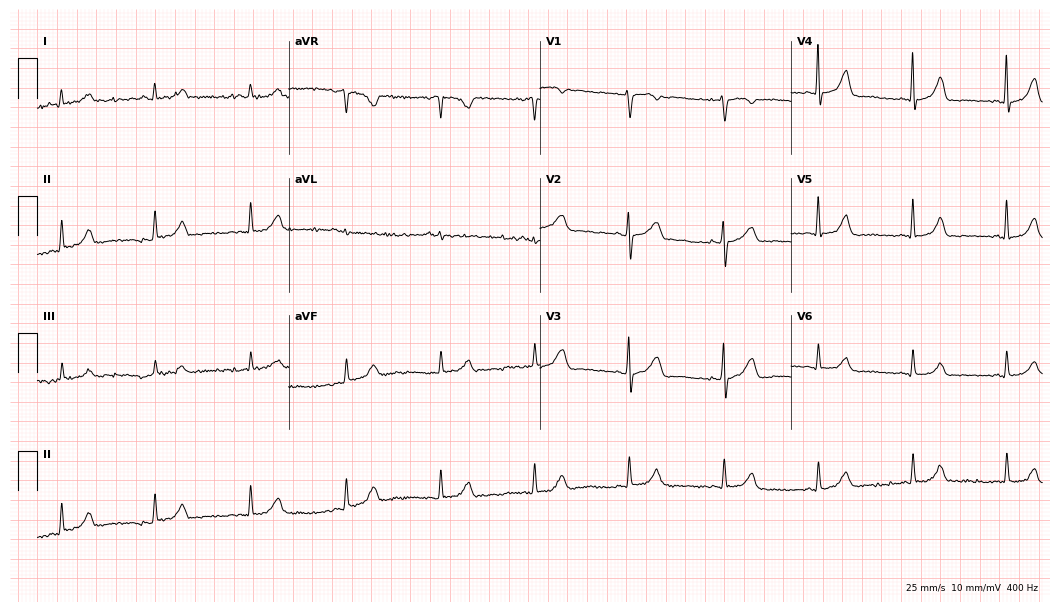
Electrocardiogram (10.2-second recording at 400 Hz), a female, 56 years old. Of the six screened findings (first-degree AV block, right bundle branch block (RBBB), left bundle branch block (LBBB), sinus bradycardia, atrial fibrillation (AF), sinus tachycardia), none is recorded. Only these six findings were labelled.